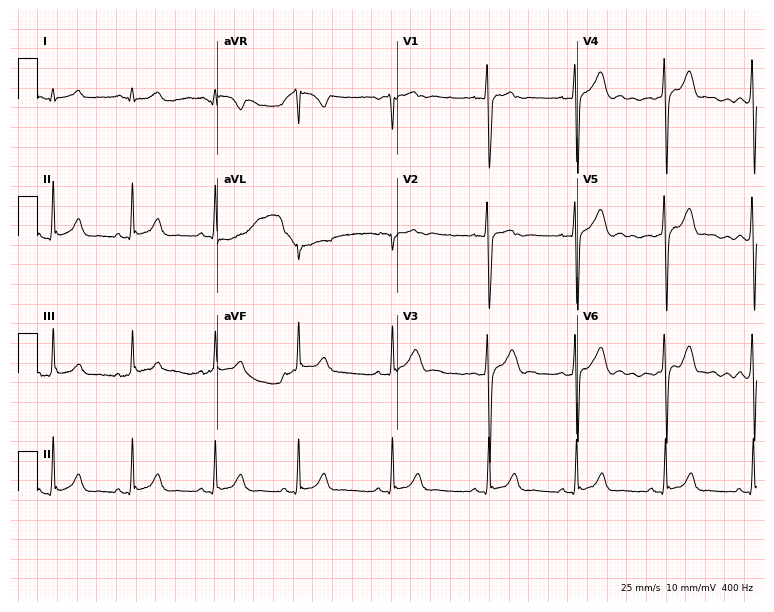
Resting 12-lead electrocardiogram (7.3-second recording at 400 Hz). Patient: a male, 17 years old. None of these six findings is recorded: first-degree AV block, right bundle branch block (RBBB), left bundle branch block (LBBB), sinus bradycardia, atrial fibrillation (AF), sinus tachycardia.